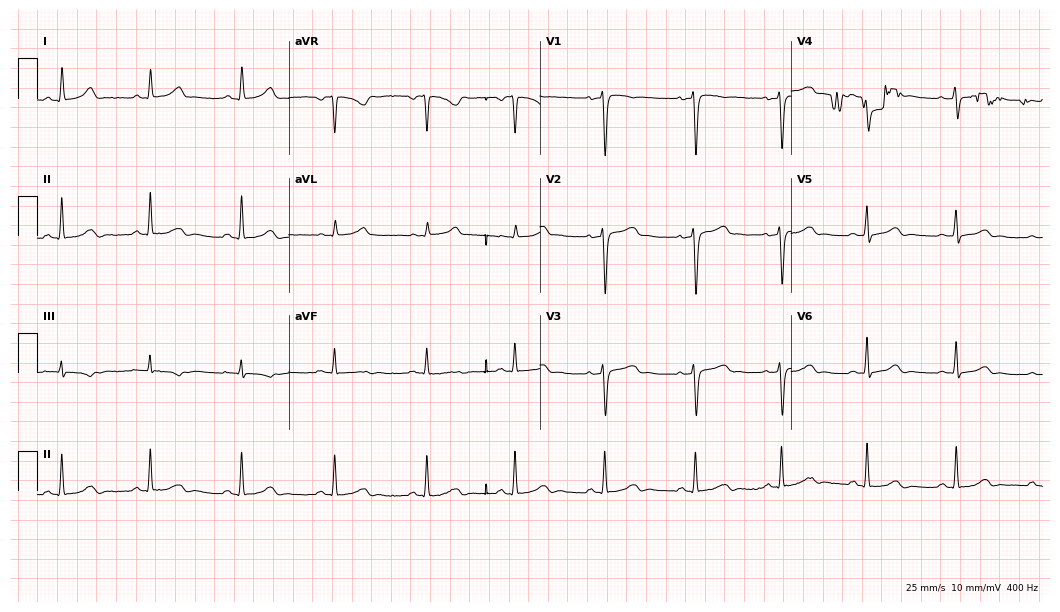
Electrocardiogram, a 49-year-old woman. Overall reading on record: normal ECG.